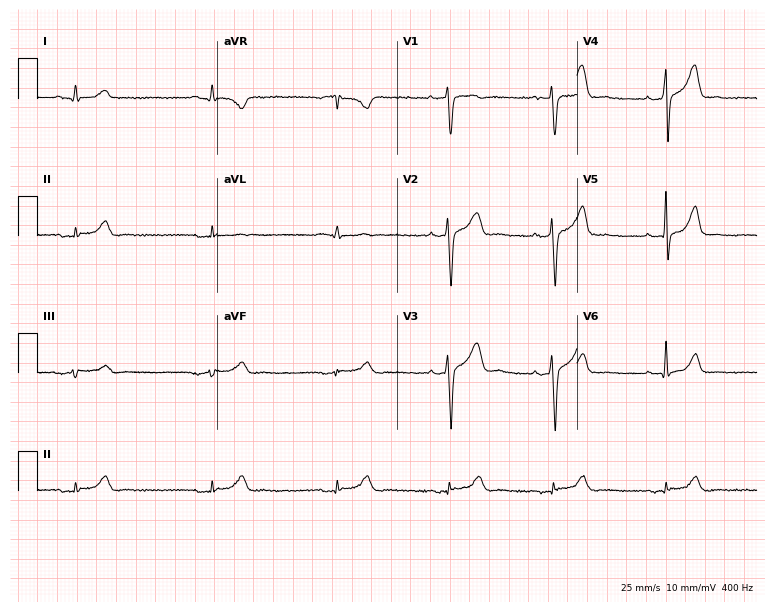
Standard 12-lead ECG recorded from a 38-year-old male. The tracing shows sinus bradycardia (a sinus rate of 50 beats per minute or less).